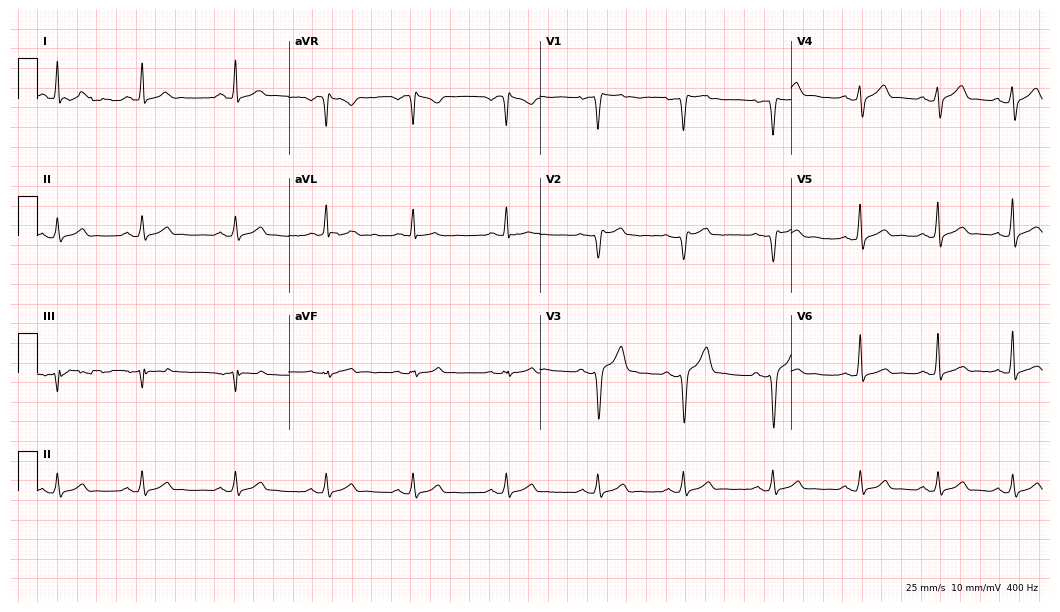
Electrocardiogram, a man, 26 years old. Of the six screened findings (first-degree AV block, right bundle branch block, left bundle branch block, sinus bradycardia, atrial fibrillation, sinus tachycardia), none is recorded.